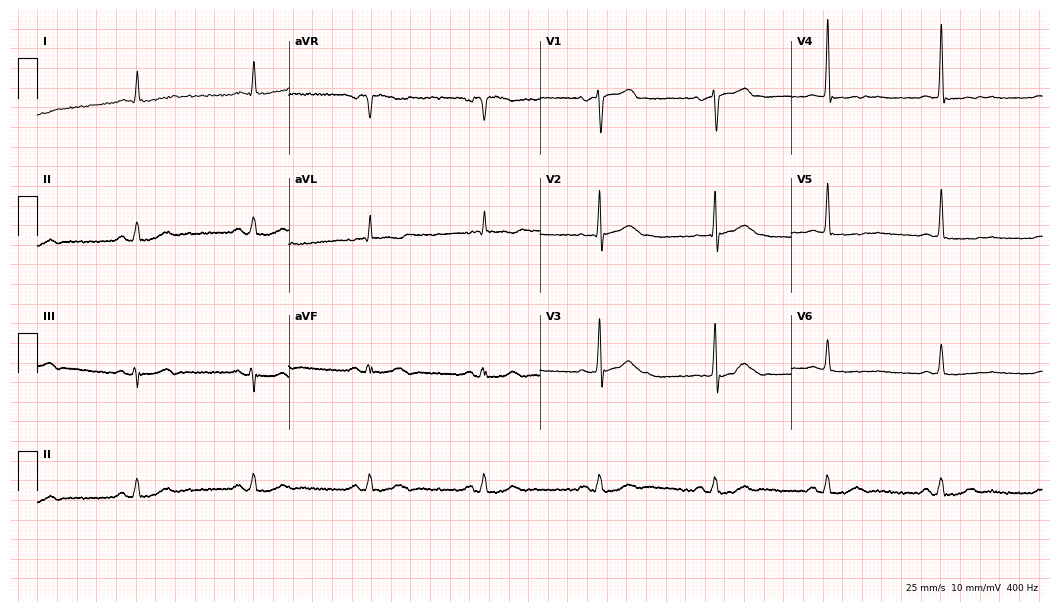
Electrocardiogram (10.2-second recording at 400 Hz), a male patient, 62 years old. Overall reading on record: normal ECG.